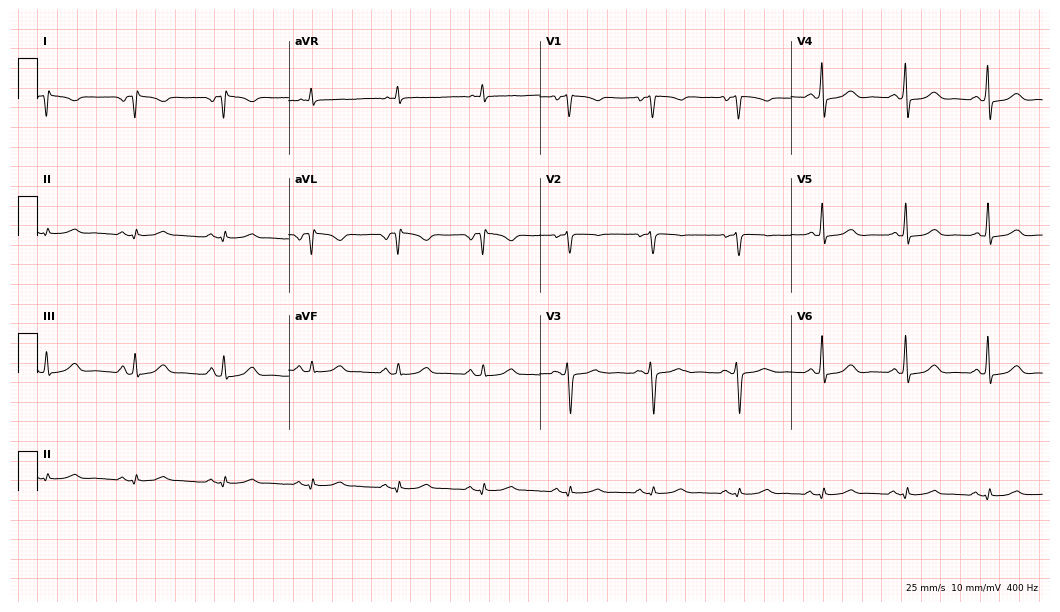
12-lead ECG from a 44-year-old woman (10.2-second recording at 400 Hz). No first-degree AV block, right bundle branch block, left bundle branch block, sinus bradycardia, atrial fibrillation or sinus tachycardia recorded for this tracing.